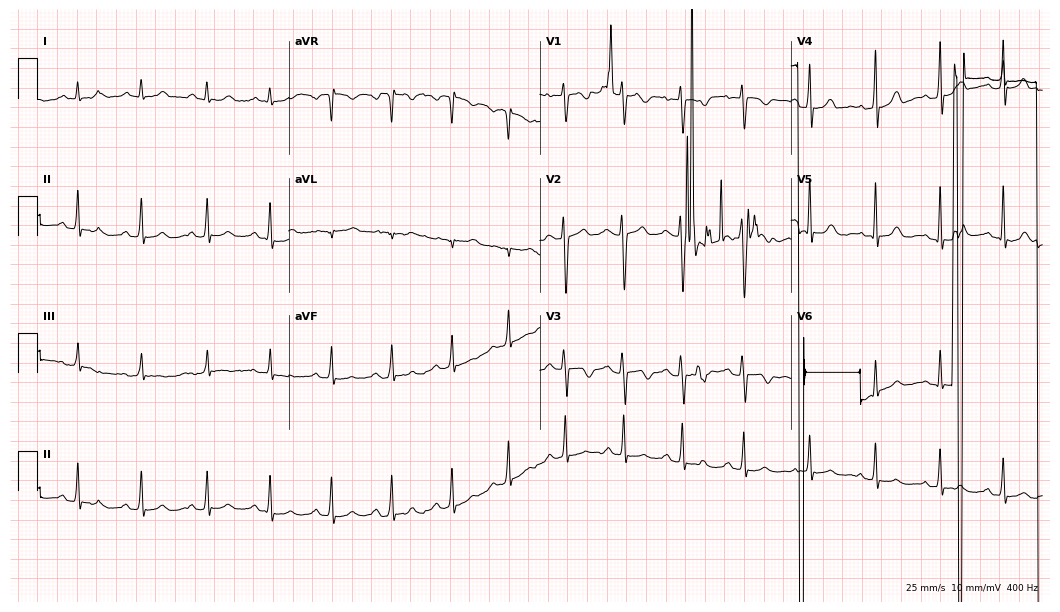
12-lead ECG from a 17-year-old female. Screened for six findings — first-degree AV block, right bundle branch block, left bundle branch block, sinus bradycardia, atrial fibrillation, sinus tachycardia — none is recorded. Only these six findings were labelled.